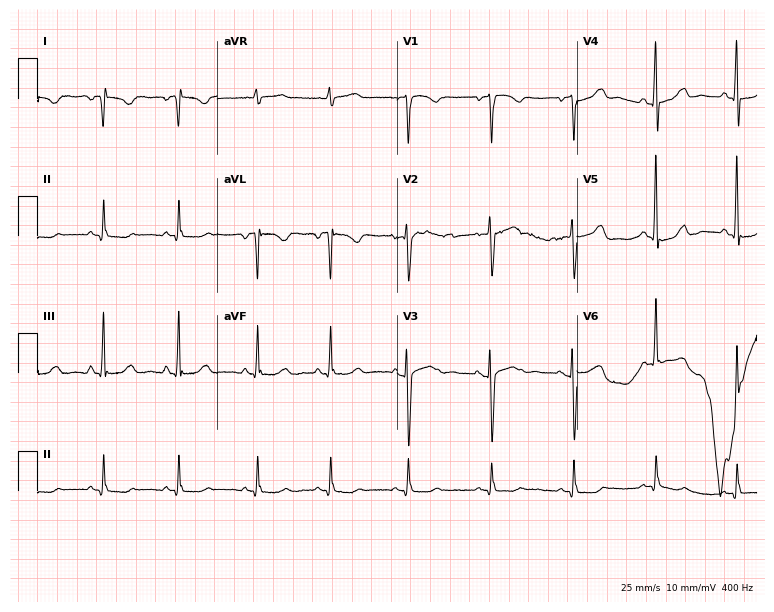
Electrocardiogram (7.3-second recording at 400 Hz), a female, 54 years old. Of the six screened findings (first-degree AV block, right bundle branch block, left bundle branch block, sinus bradycardia, atrial fibrillation, sinus tachycardia), none is recorded.